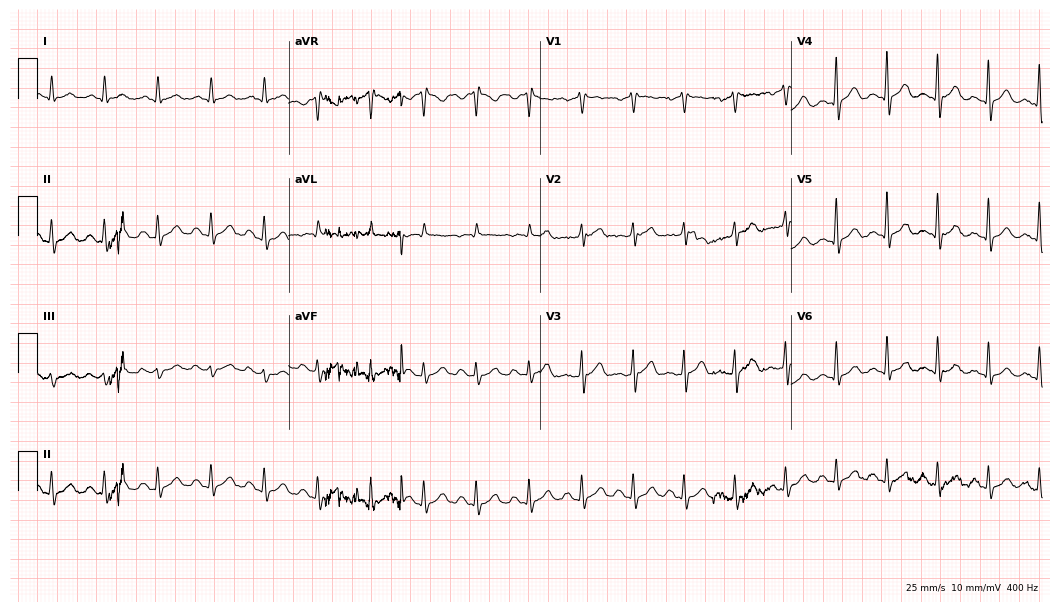
Electrocardiogram (10.2-second recording at 400 Hz), a male patient, 61 years old. Interpretation includes sinus tachycardia (a sinus rate of 100 beats per minute or more).